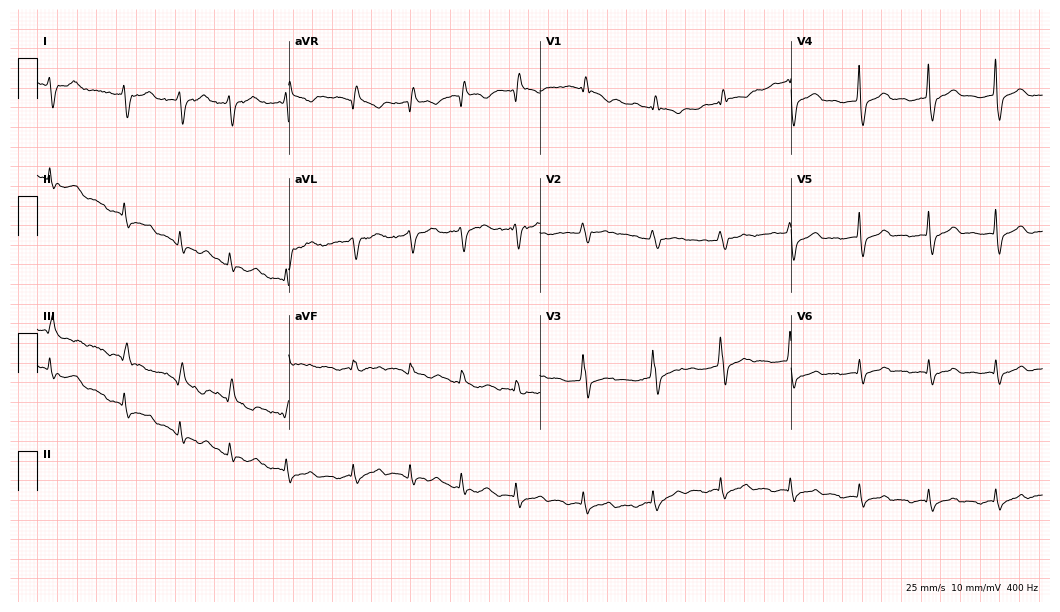
12-lead ECG (10.2-second recording at 400 Hz) from a female patient, 45 years old. Findings include atrial fibrillation.